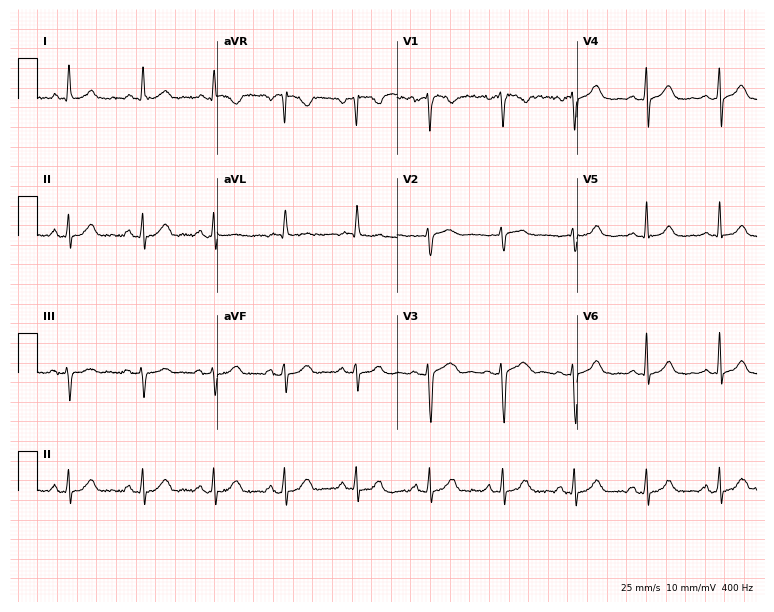
Standard 12-lead ECG recorded from a woman, 46 years old (7.3-second recording at 400 Hz). Read as a normal ECG.